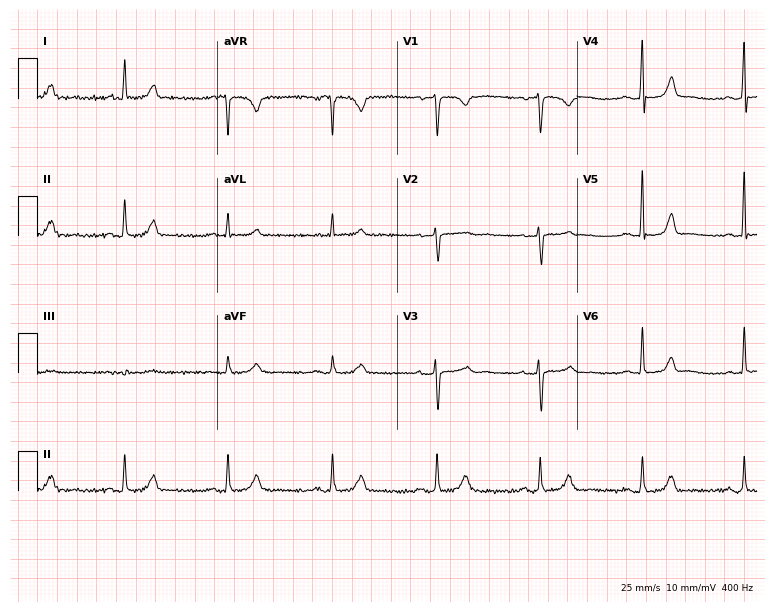
Standard 12-lead ECG recorded from a female patient, 51 years old (7.3-second recording at 400 Hz). Read as a normal ECG.